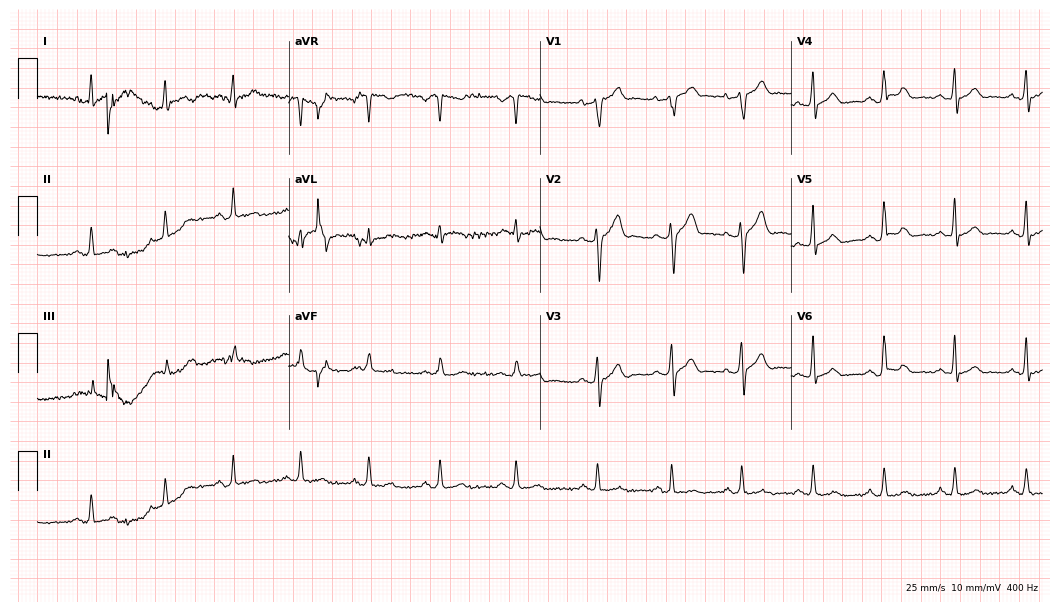
ECG — a male patient, 27 years old. Labelled as a normal ECG.